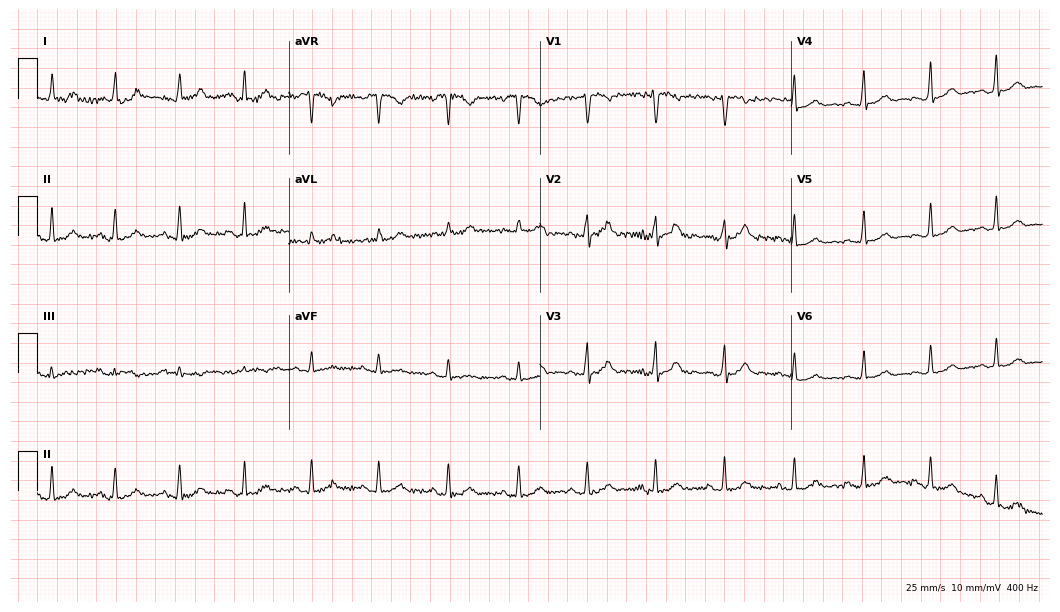
Electrocardiogram, a 34-year-old female patient. Overall reading on record: normal ECG.